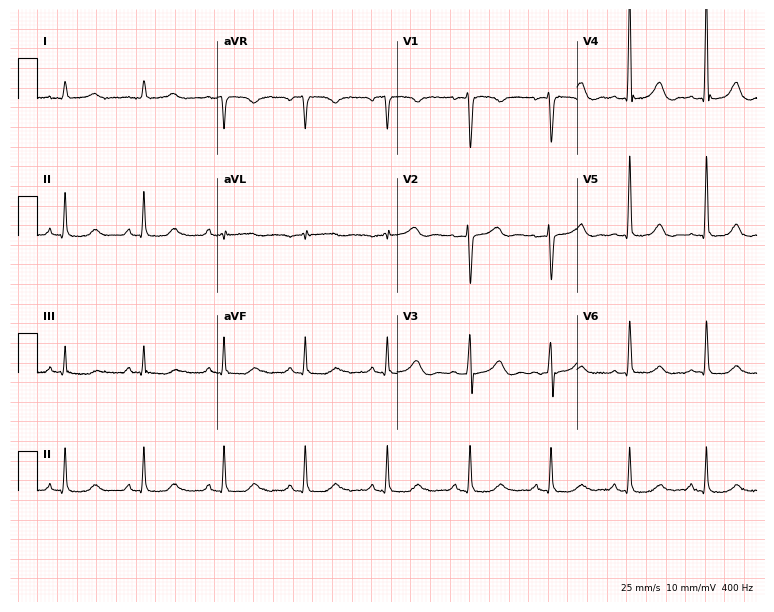
Electrocardiogram, a woman, 60 years old. Overall reading on record: normal ECG.